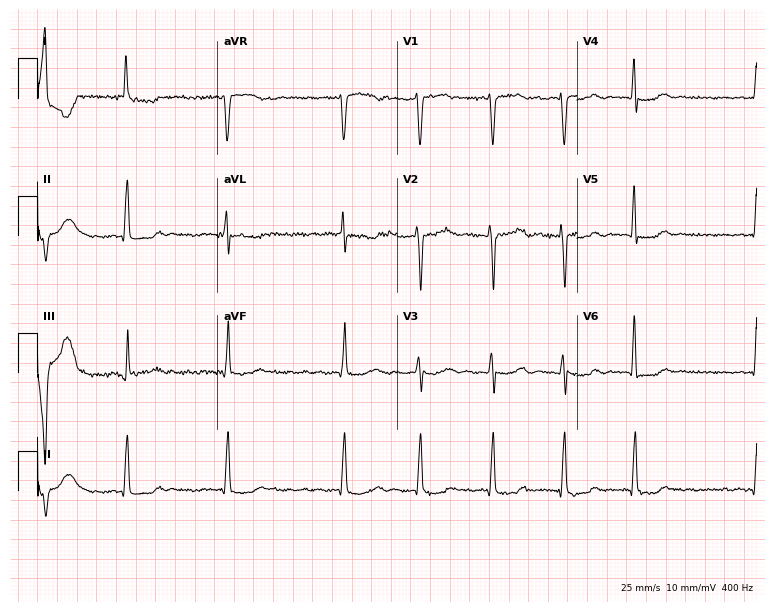
12-lead ECG from a 66-year-old female patient (7.3-second recording at 400 Hz). Shows atrial fibrillation (AF).